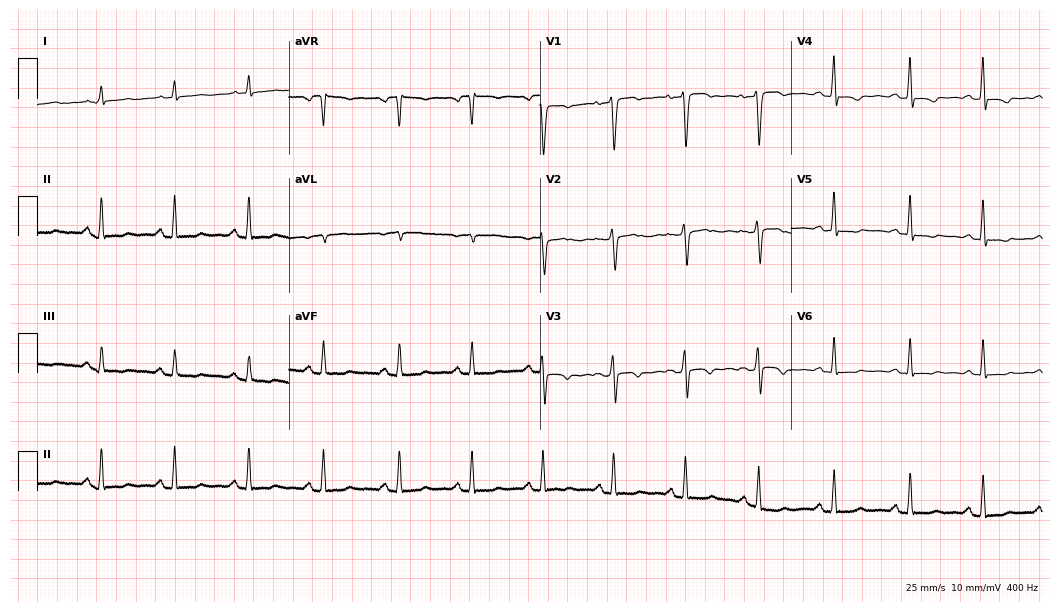
Standard 12-lead ECG recorded from a woman, 37 years old (10.2-second recording at 400 Hz). None of these six findings is recorded: first-degree AV block, right bundle branch block, left bundle branch block, sinus bradycardia, atrial fibrillation, sinus tachycardia. Only these six findings were labelled.